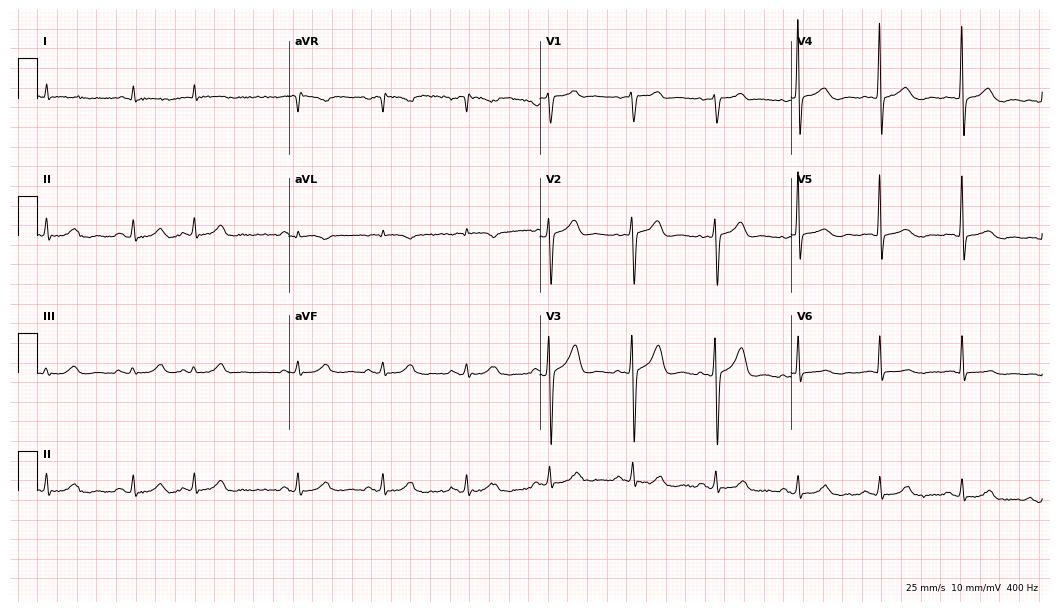
12-lead ECG from a 74-year-old male patient. No first-degree AV block, right bundle branch block, left bundle branch block, sinus bradycardia, atrial fibrillation or sinus tachycardia recorded for this tracing. Findings outside these six are not listed.